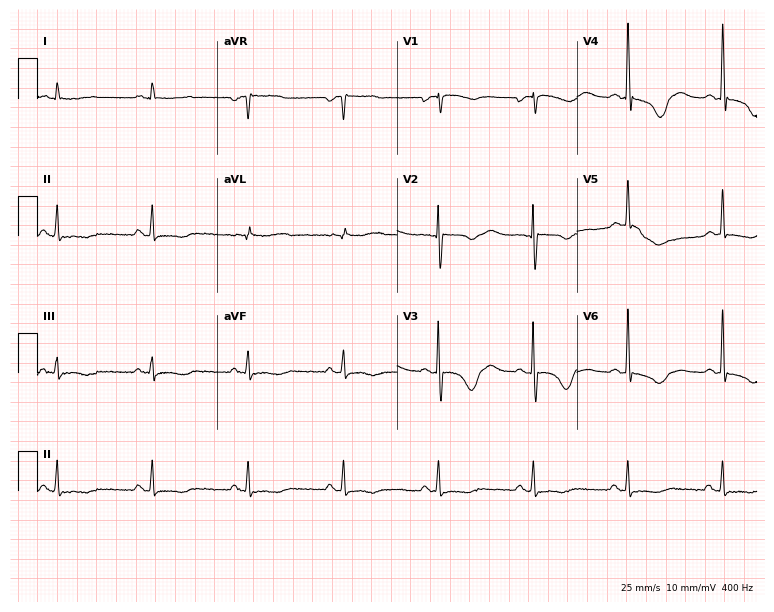
Resting 12-lead electrocardiogram (7.3-second recording at 400 Hz). Patient: an 84-year-old female. None of these six findings is recorded: first-degree AV block, right bundle branch block (RBBB), left bundle branch block (LBBB), sinus bradycardia, atrial fibrillation (AF), sinus tachycardia. Only these six findings were labelled.